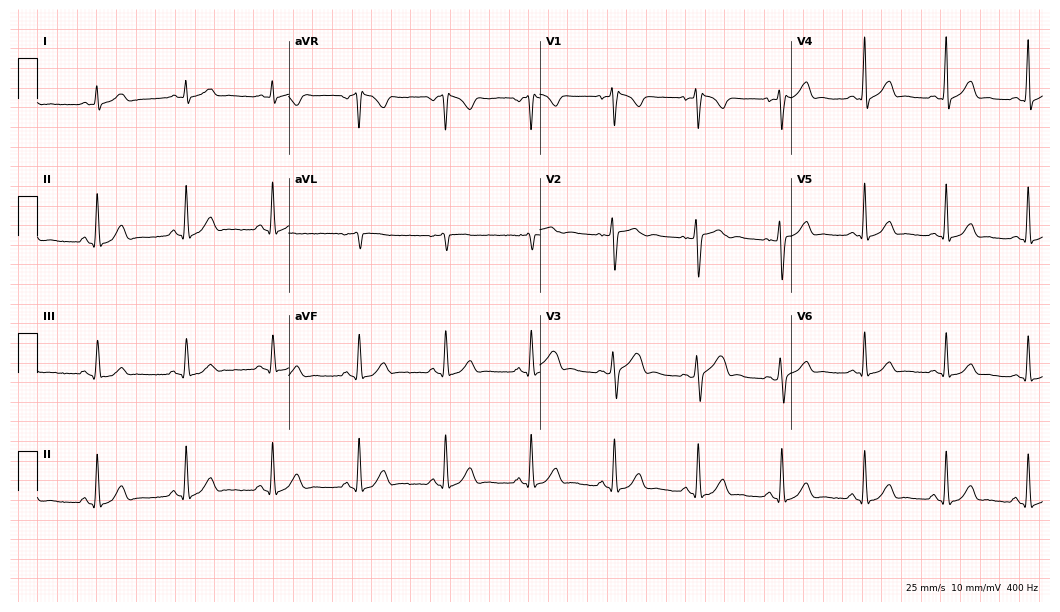
12-lead ECG (10.2-second recording at 400 Hz) from a 36-year-old man. Labelled as a normal ECG.